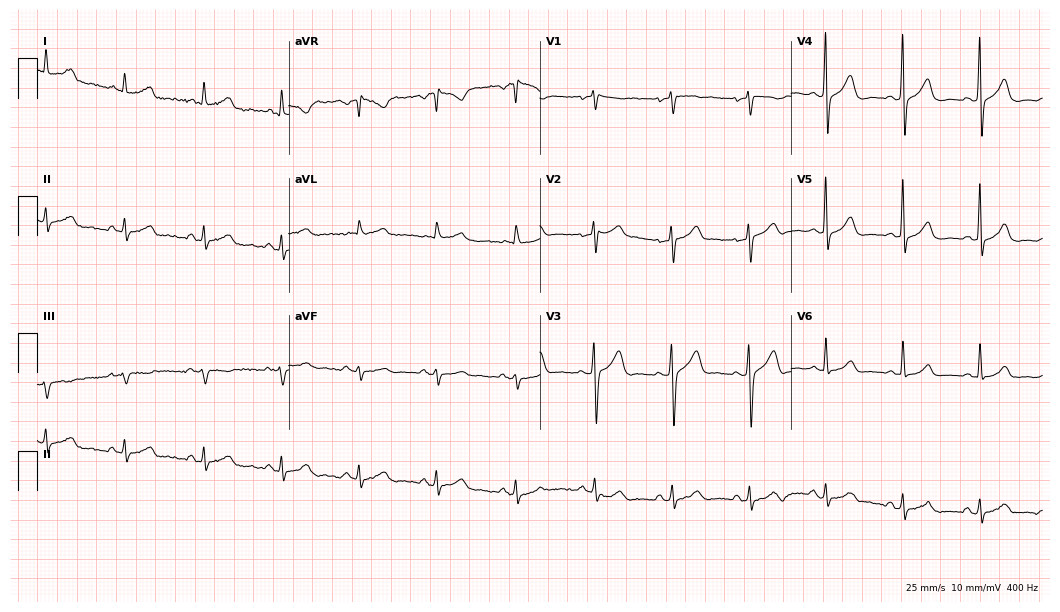
12-lead ECG (10.2-second recording at 400 Hz) from a man, 44 years old. Screened for six findings — first-degree AV block, right bundle branch block, left bundle branch block, sinus bradycardia, atrial fibrillation, sinus tachycardia — none is recorded.